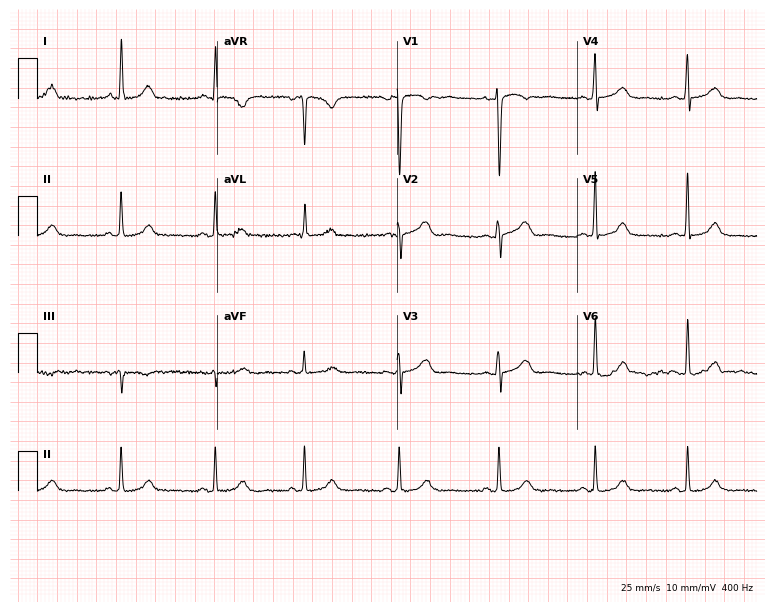
ECG — a woman, 48 years old. Screened for six findings — first-degree AV block, right bundle branch block, left bundle branch block, sinus bradycardia, atrial fibrillation, sinus tachycardia — none is recorded.